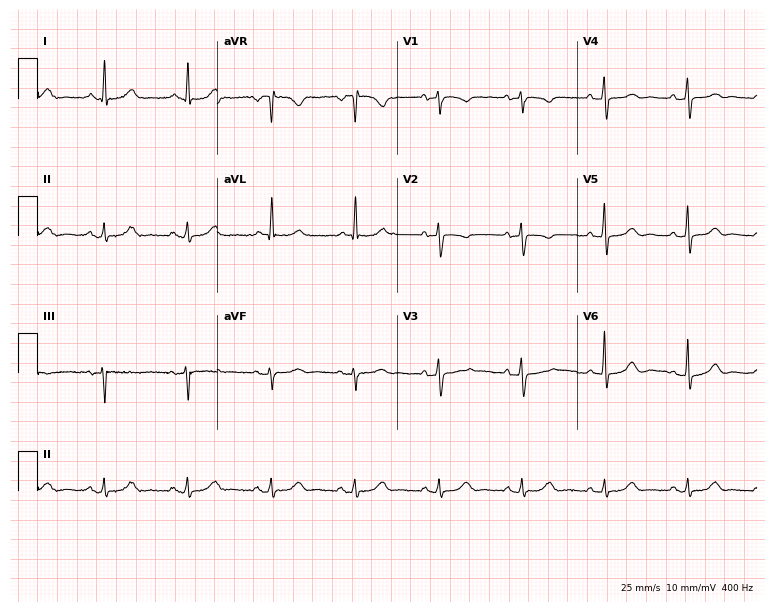
12-lead ECG from an 81-year-old female patient. Recorded interpretation: within normal limits.